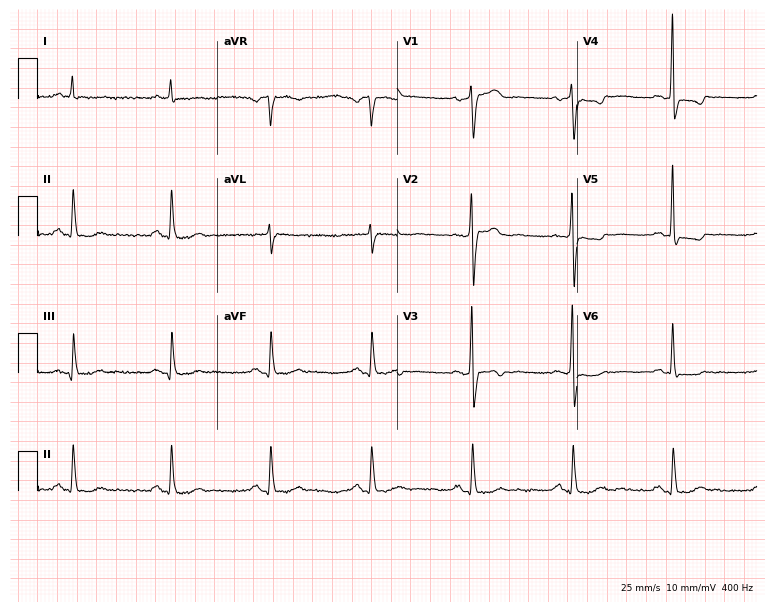
ECG (7.3-second recording at 400 Hz) — a man, 79 years old. Labelled as a normal ECG.